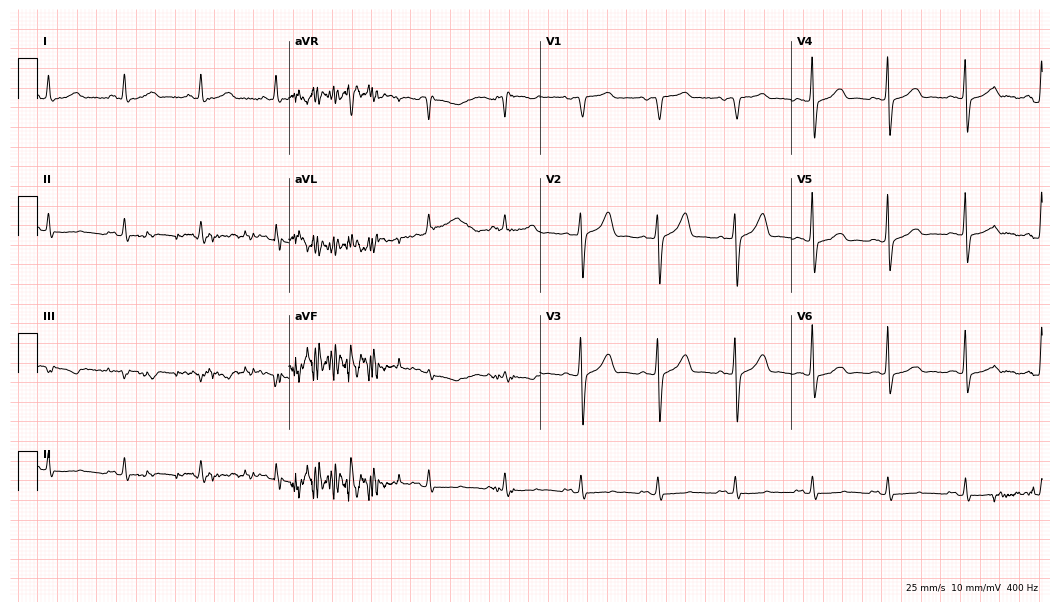
12-lead ECG from a male, 77 years old. No first-degree AV block, right bundle branch block, left bundle branch block, sinus bradycardia, atrial fibrillation or sinus tachycardia recorded for this tracing. Findings outside these six are not listed.